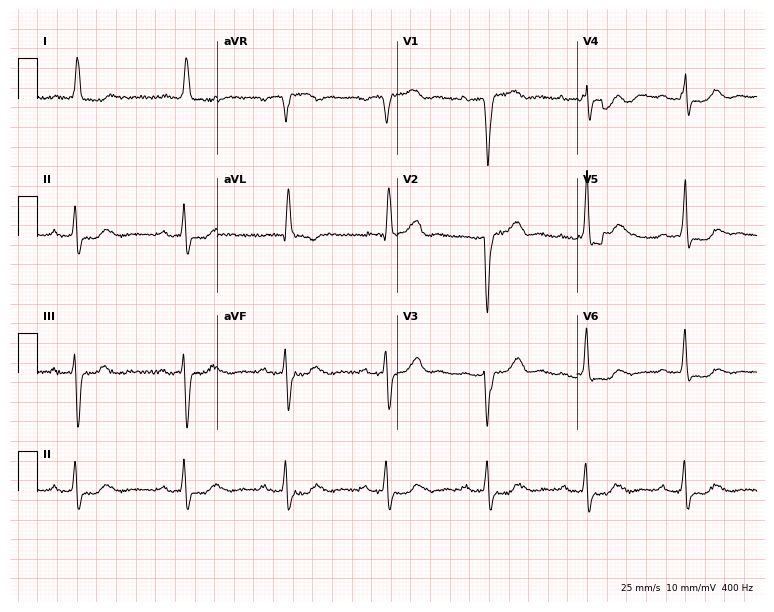
12-lead ECG from a woman, 79 years old. No first-degree AV block, right bundle branch block (RBBB), left bundle branch block (LBBB), sinus bradycardia, atrial fibrillation (AF) or sinus tachycardia recorded for this tracing. Only these six findings were labelled.